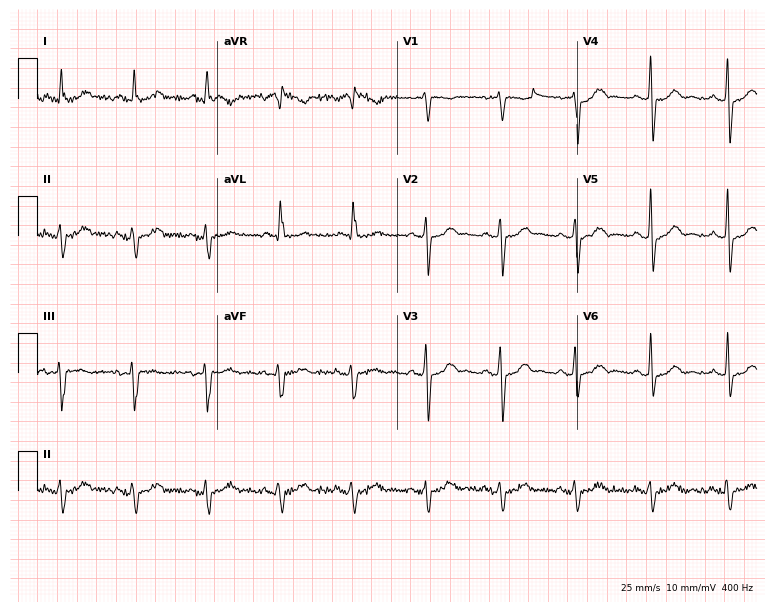
ECG (7.3-second recording at 400 Hz) — a male patient, 70 years old. Screened for six findings — first-degree AV block, right bundle branch block, left bundle branch block, sinus bradycardia, atrial fibrillation, sinus tachycardia — none is recorded. Findings outside these six are not listed.